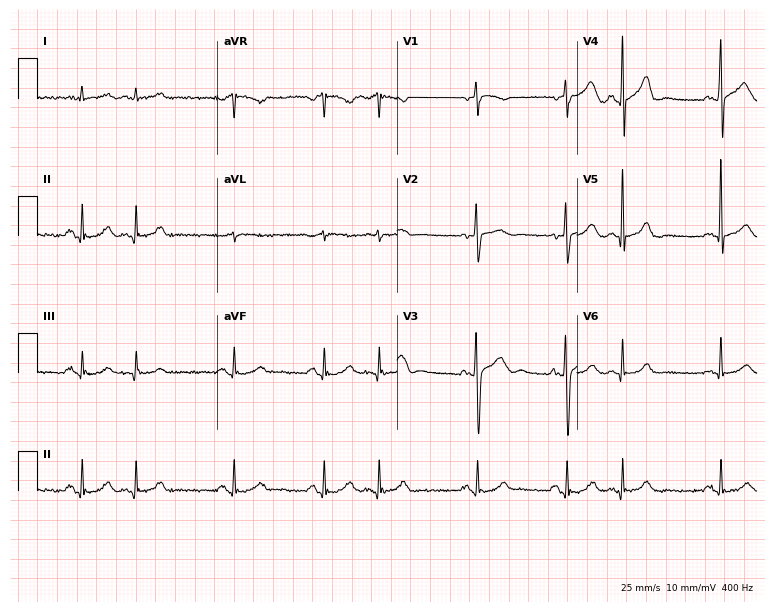
12-lead ECG from a 79-year-old male patient. Recorded interpretation: within normal limits.